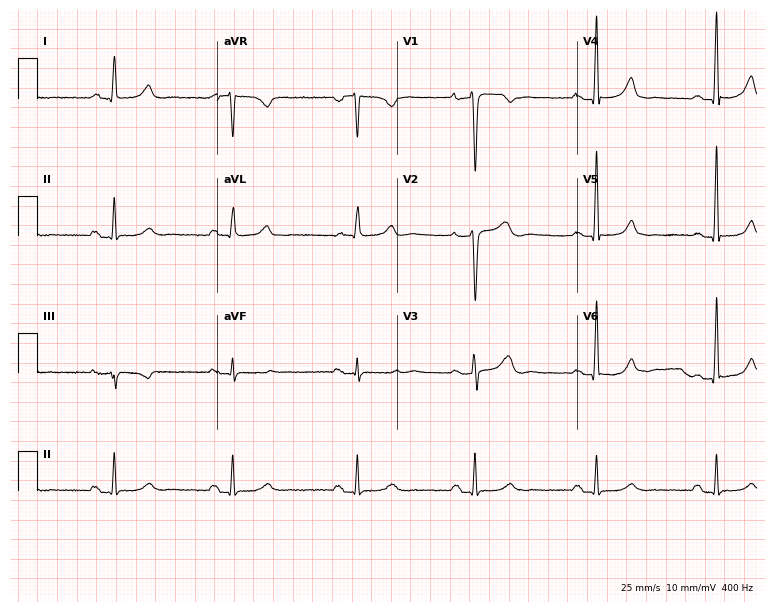
12-lead ECG from a 61-year-old female (7.3-second recording at 400 Hz). Recorded interpretation: within normal limits.